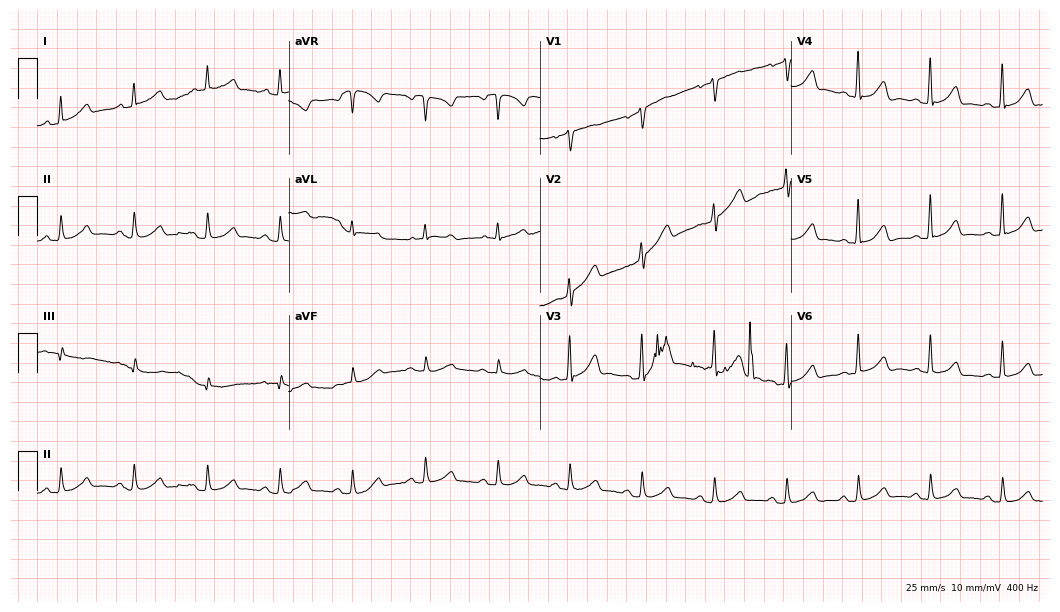
12-lead ECG from a 63-year-old female patient. Screened for six findings — first-degree AV block, right bundle branch block, left bundle branch block, sinus bradycardia, atrial fibrillation, sinus tachycardia — none is recorded.